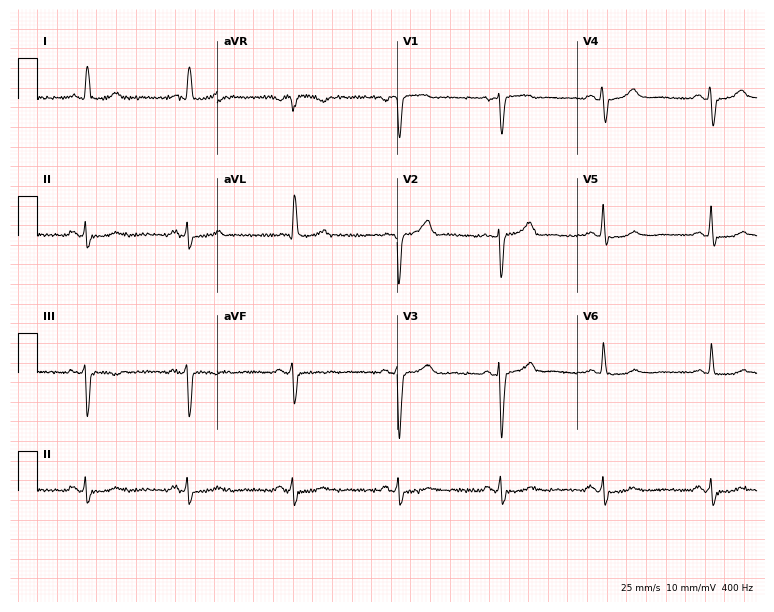
Electrocardiogram, a male patient, 70 years old. Of the six screened findings (first-degree AV block, right bundle branch block (RBBB), left bundle branch block (LBBB), sinus bradycardia, atrial fibrillation (AF), sinus tachycardia), none is recorded.